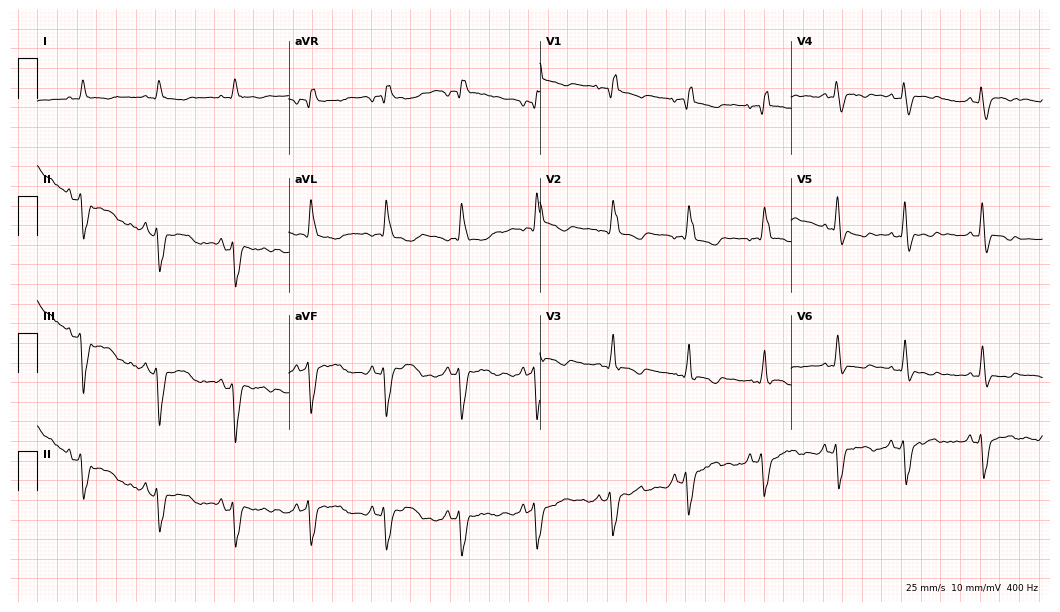
ECG (10.2-second recording at 400 Hz) — a 66-year-old female. Findings include right bundle branch block.